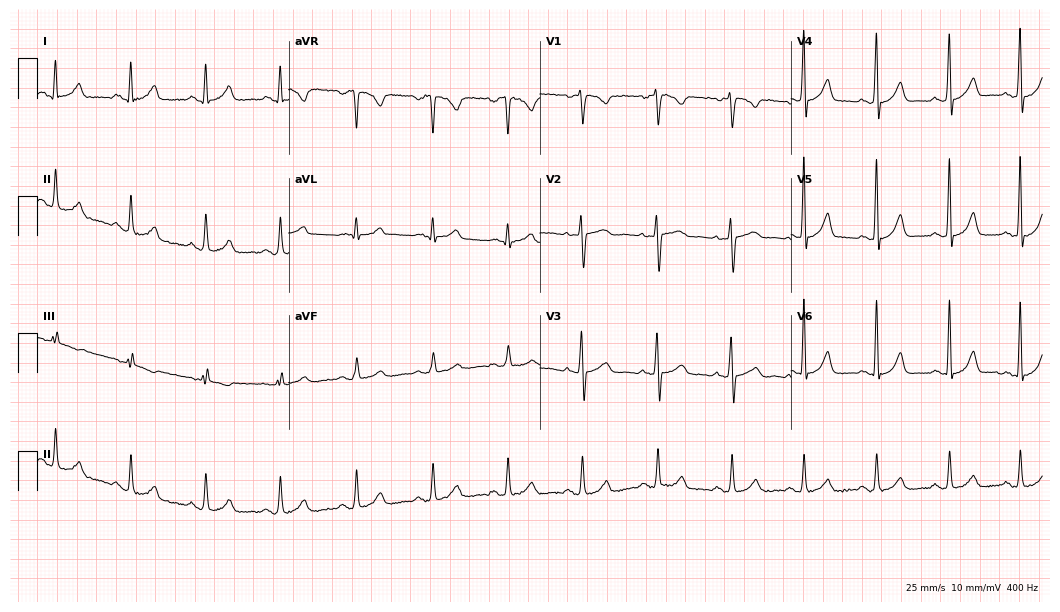
Electrocardiogram, a female, 35 years old. Overall reading on record: normal ECG.